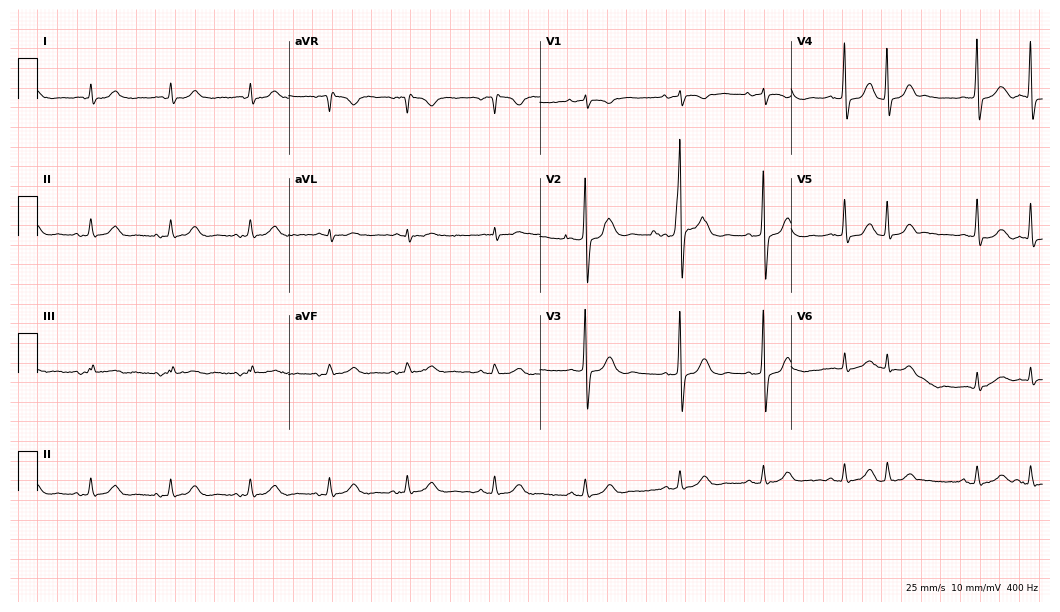
Standard 12-lead ECG recorded from a 73-year-old man. None of these six findings is recorded: first-degree AV block, right bundle branch block (RBBB), left bundle branch block (LBBB), sinus bradycardia, atrial fibrillation (AF), sinus tachycardia.